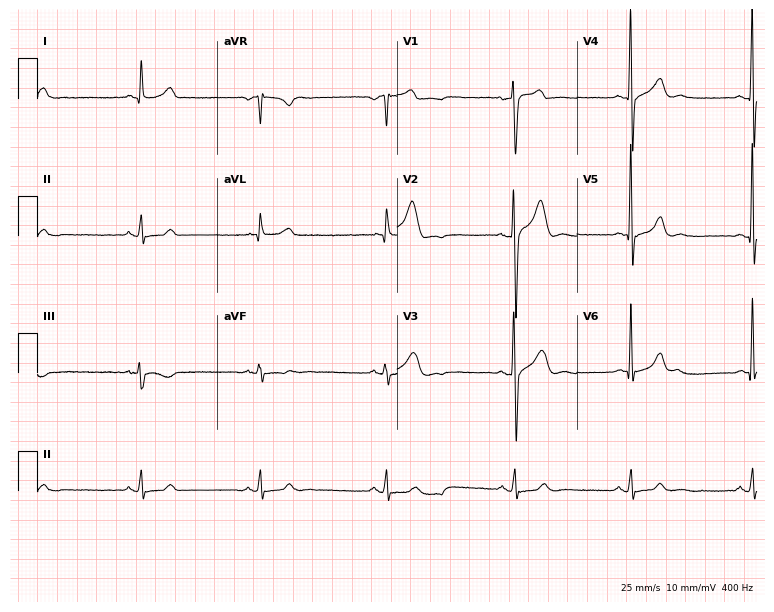
ECG (7.3-second recording at 400 Hz) — a 47-year-old male patient. Findings include sinus bradycardia (a sinus rate of 50 beats per minute or less).